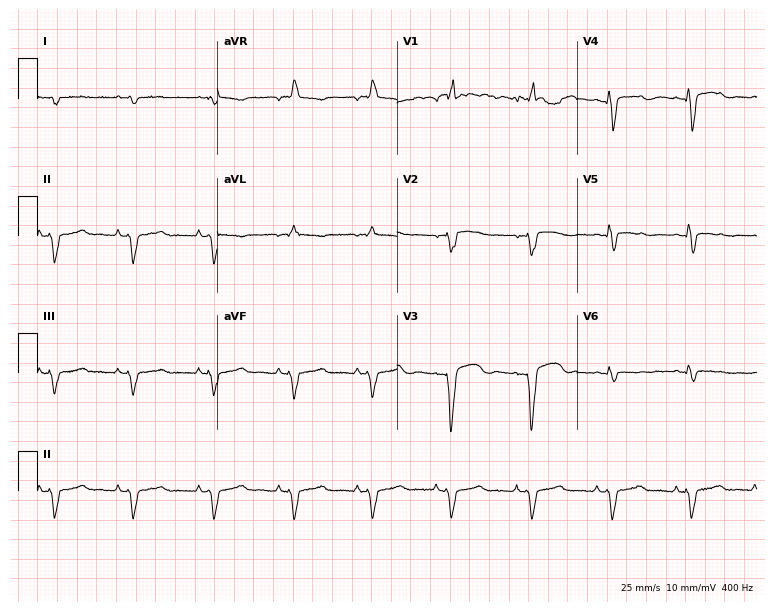
12-lead ECG from a 60-year-old male patient (7.3-second recording at 400 Hz). No first-degree AV block, right bundle branch block, left bundle branch block, sinus bradycardia, atrial fibrillation or sinus tachycardia recorded for this tracing. Only these six findings were labelled.